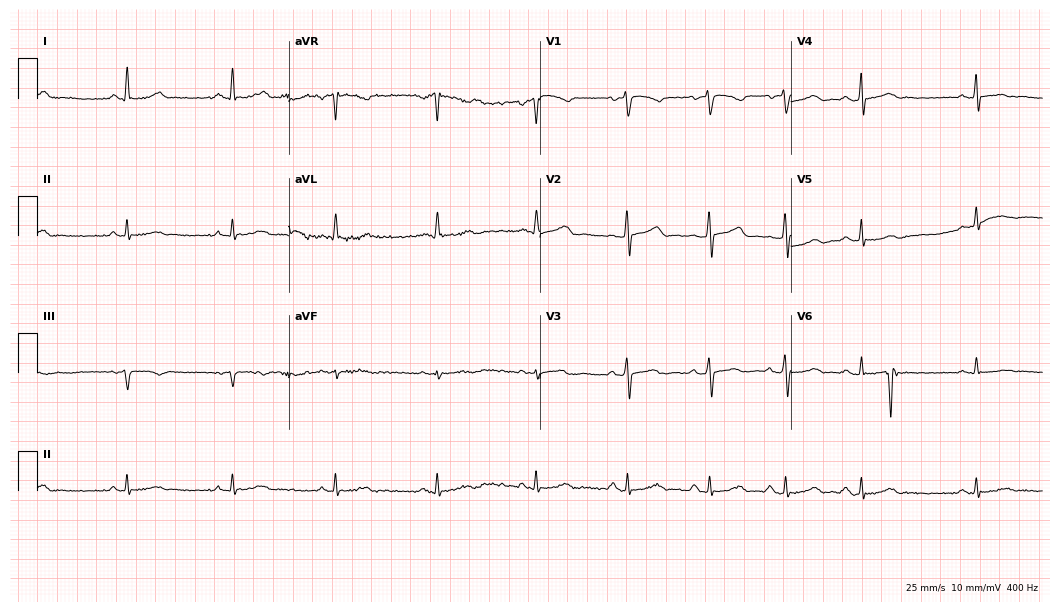
ECG — a woman, 57 years old. Labelled as a normal ECG.